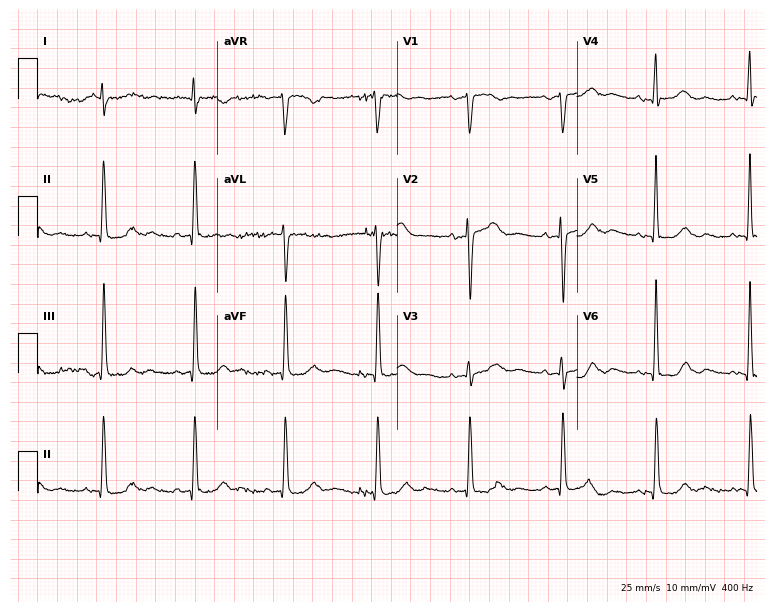
Standard 12-lead ECG recorded from an 85-year-old male (7.3-second recording at 400 Hz). None of these six findings is recorded: first-degree AV block, right bundle branch block, left bundle branch block, sinus bradycardia, atrial fibrillation, sinus tachycardia.